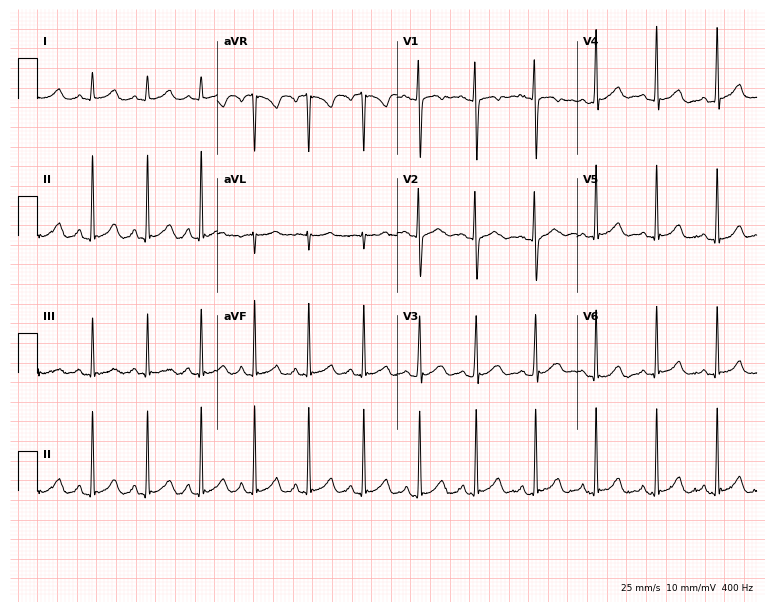
ECG — an 18-year-old woman. Labelled as a normal ECG.